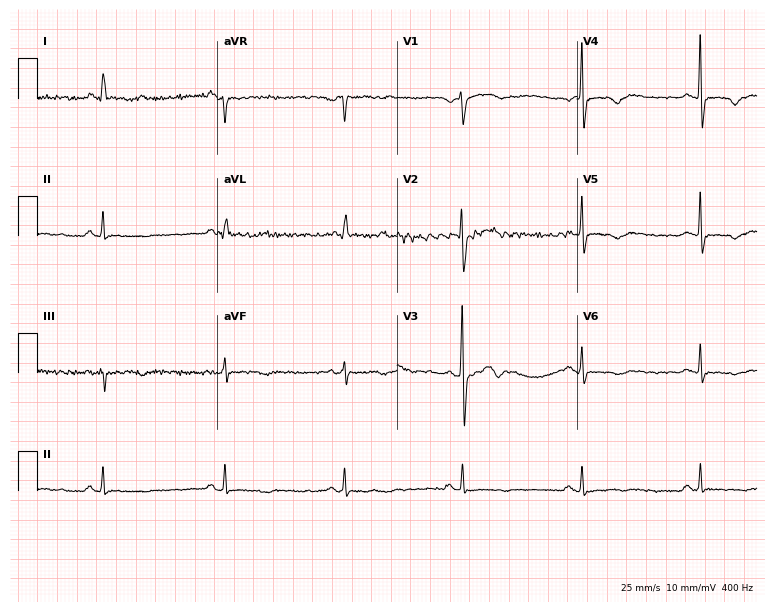
ECG — a male patient, 55 years old. Findings include sinus bradycardia (a sinus rate of 50 beats per minute or less).